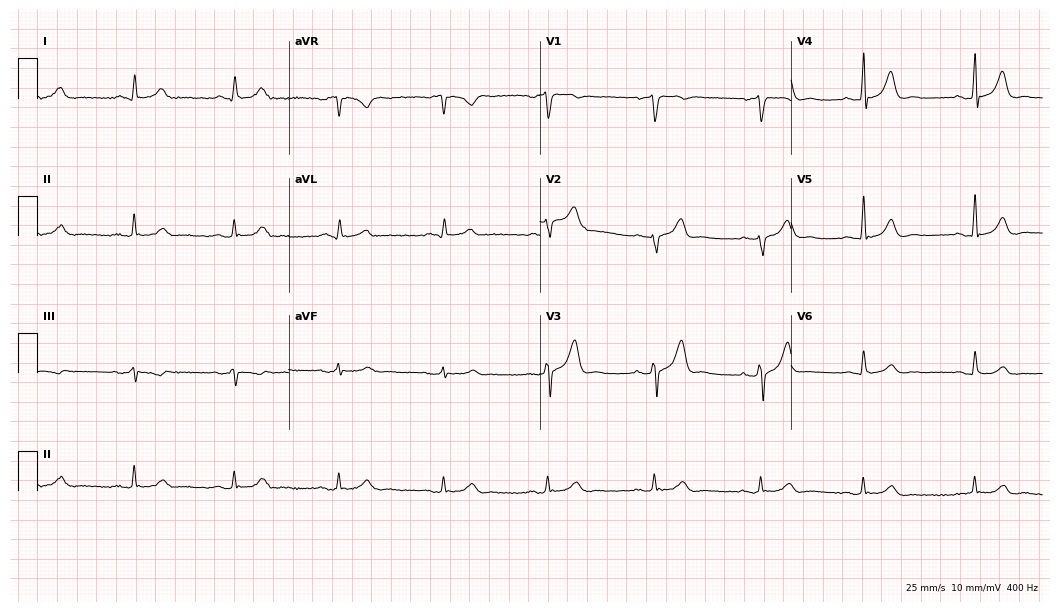
Standard 12-lead ECG recorded from a male, 68 years old (10.2-second recording at 400 Hz). Read as a normal ECG.